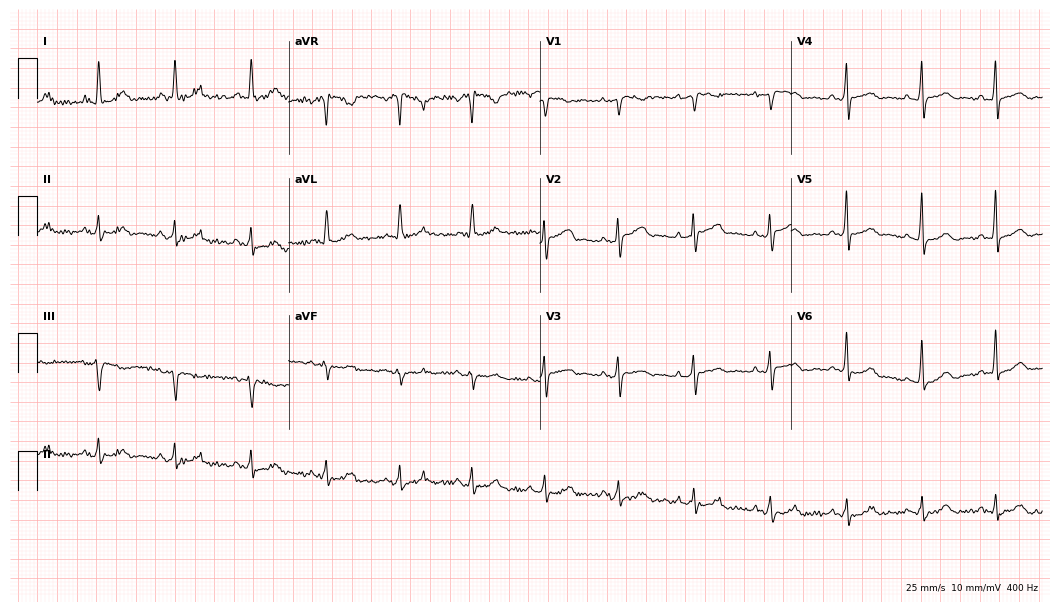
Electrocardiogram, a 59-year-old woman. Overall reading on record: normal ECG.